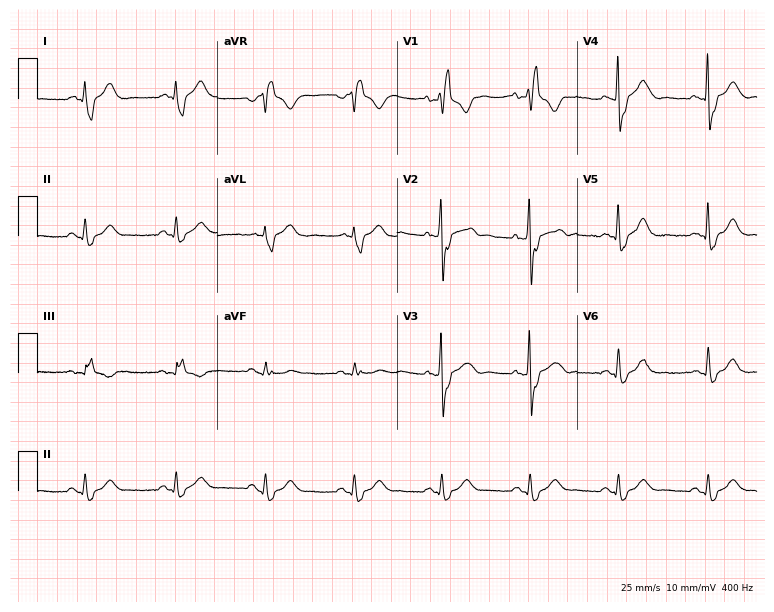
Resting 12-lead electrocardiogram. Patient: a 56-year-old male. The tracing shows right bundle branch block (RBBB).